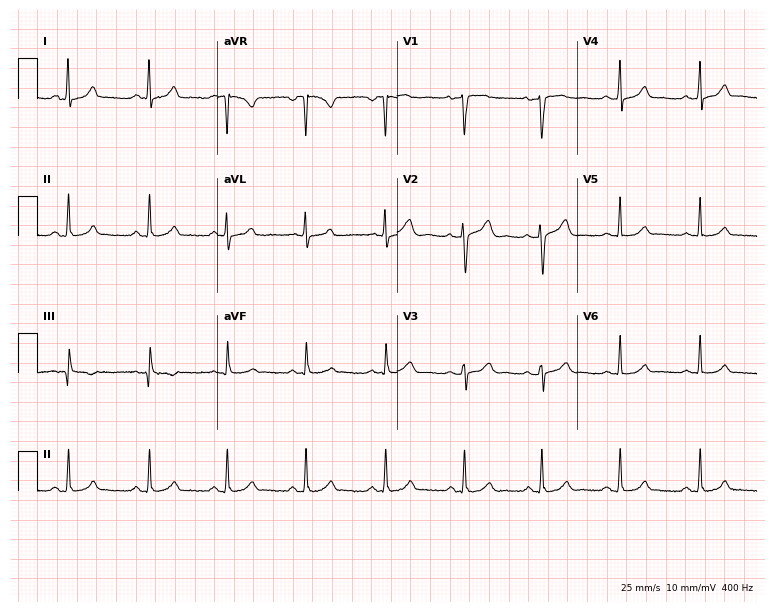
12-lead ECG from a 39-year-old female patient. Screened for six findings — first-degree AV block, right bundle branch block, left bundle branch block, sinus bradycardia, atrial fibrillation, sinus tachycardia — none is recorded.